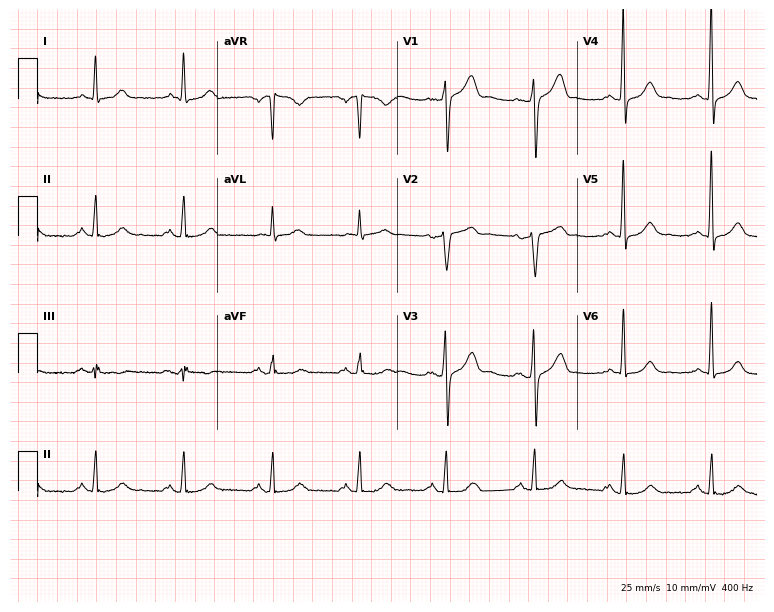
ECG — a 62-year-old male patient. Screened for six findings — first-degree AV block, right bundle branch block, left bundle branch block, sinus bradycardia, atrial fibrillation, sinus tachycardia — none is recorded.